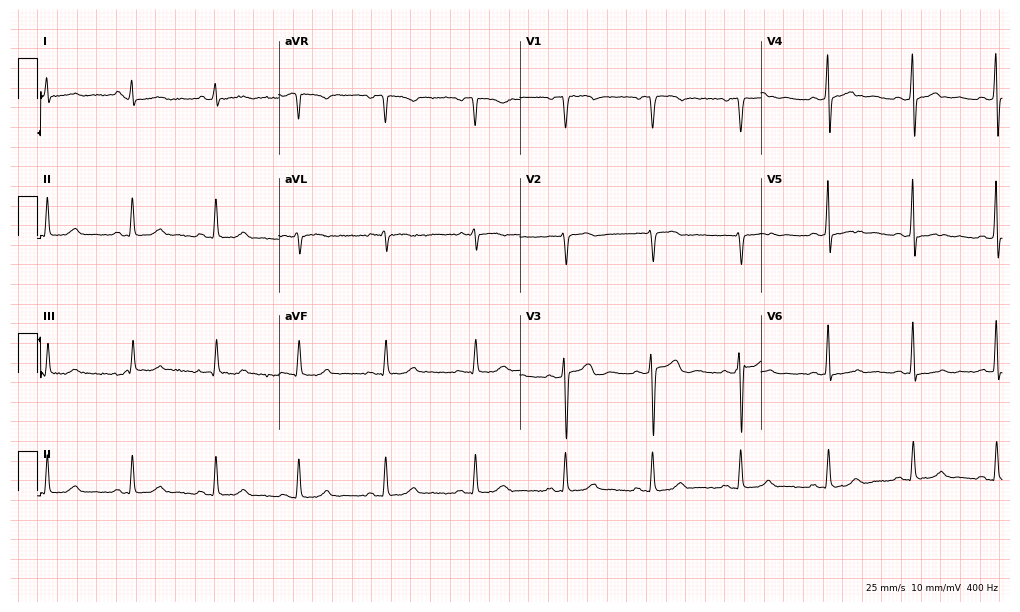
Standard 12-lead ECG recorded from a 51-year-old man. None of these six findings is recorded: first-degree AV block, right bundle branch block, left bundle branch block, sinus bradycardia, atrial fibrillation, sinus tachycardia. Findings outside these six are not listed.